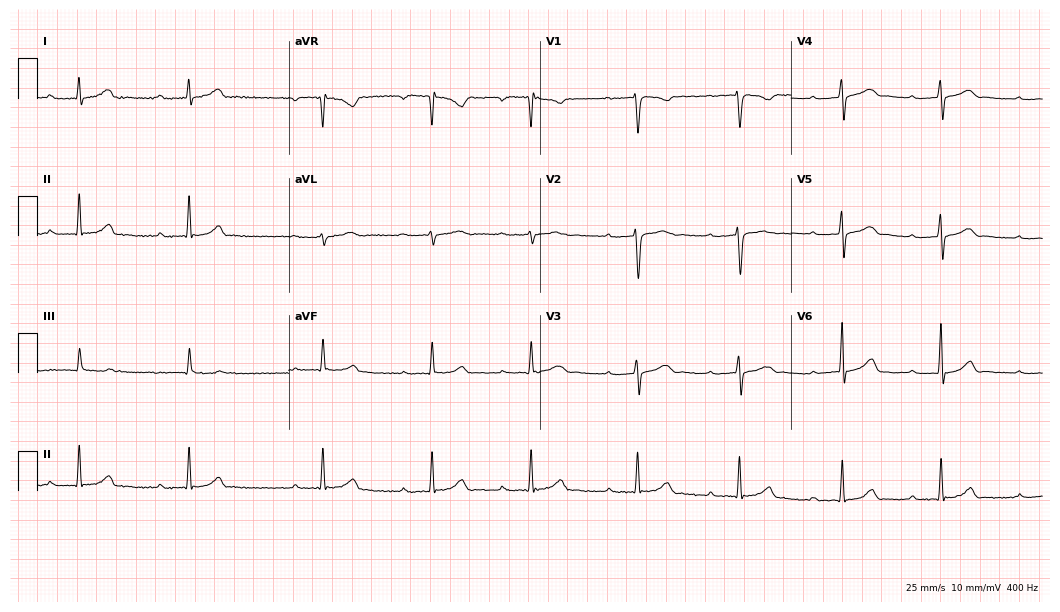
Electrocardiogram, a 17-year-old woman. Interpretation includes first-degree AV block.